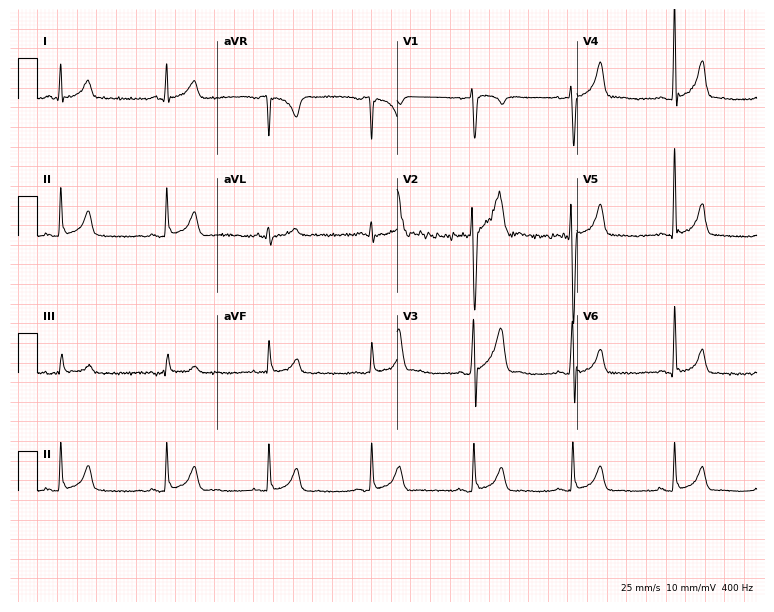
12-lead ECG from a 20-year-old male. No first-degree AV block, right bundle branch block, left bundle branch block, sinus bradycardia, atrial fibrillation or sinus tachycardia recorded for this tracing.